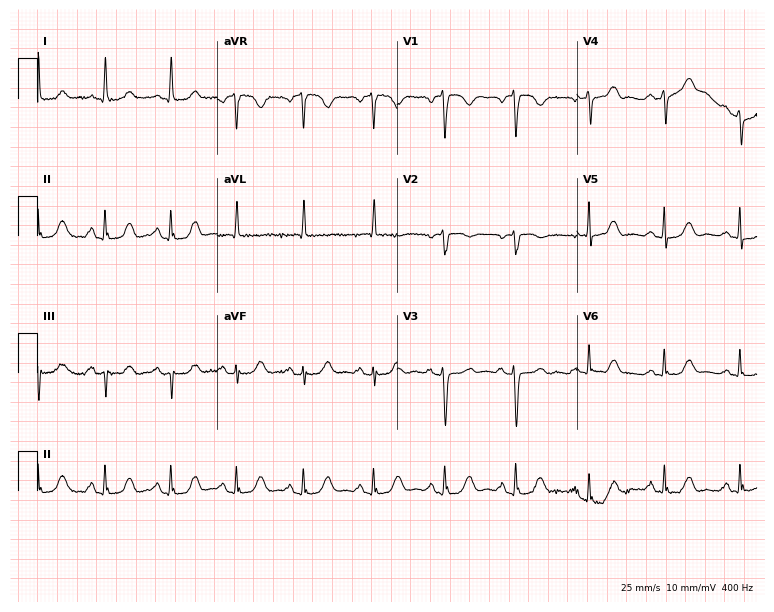
Electrocardiogram (7.3-second recording at 400 Hz), a female, 74 years old. Of the six screened findings (first-degree AV block, right bundle branch block, left bundle branch block, sinus bradycardia, atrial fibrillation, sinus tachycardia), none is recorded.